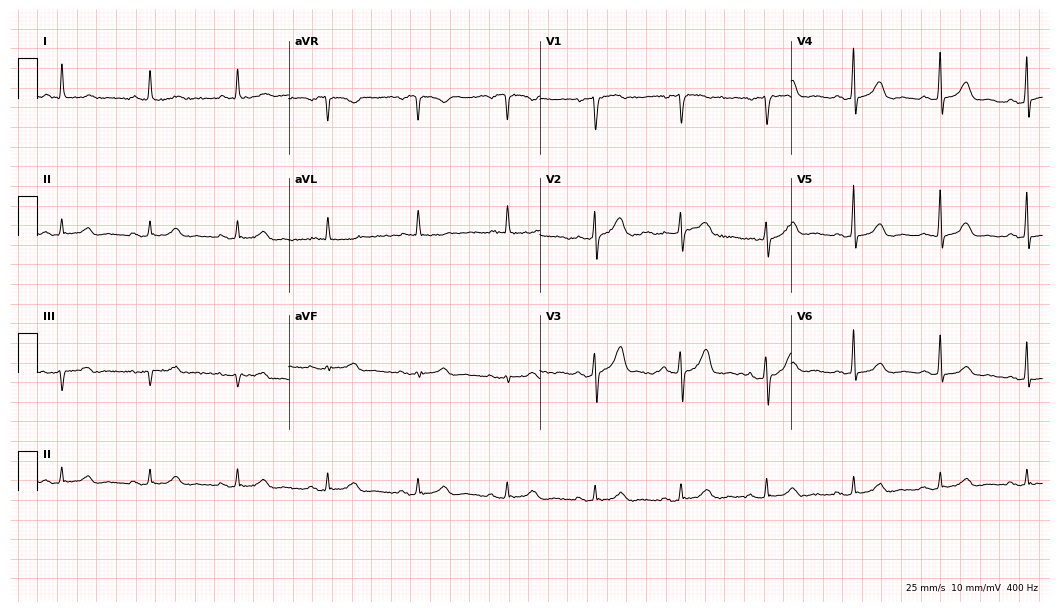
Electrocardiogram (10.2-second recording at 400 Hz), an 84-year-old male. Overall reading on record: normal ECG.